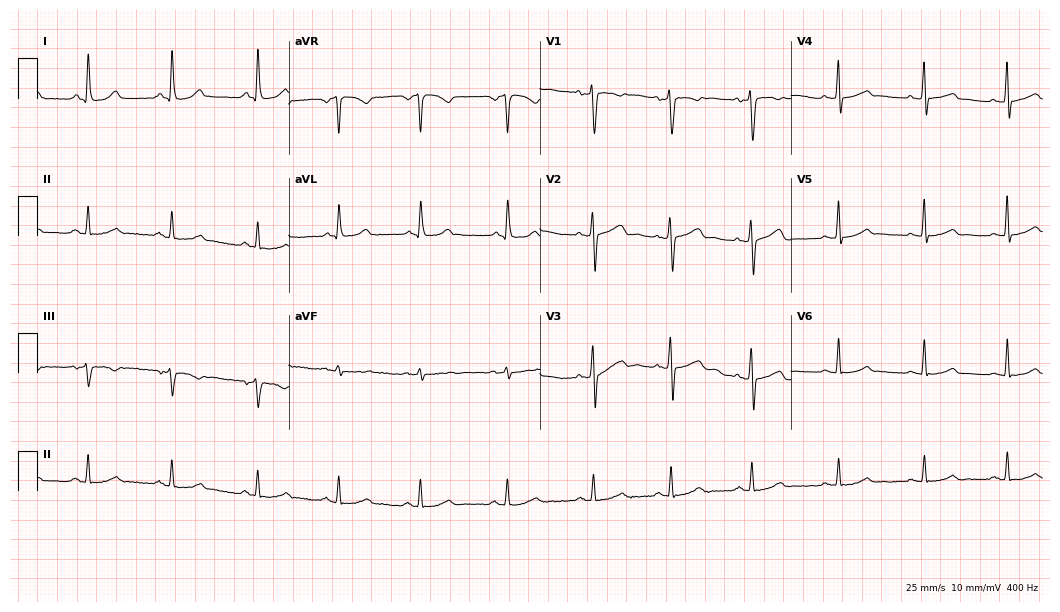
Resting 12-lead electrocardiogram (10.2-second recording at 400 Hz). Patient: a 39-year-old female. Read as a normal ECG.